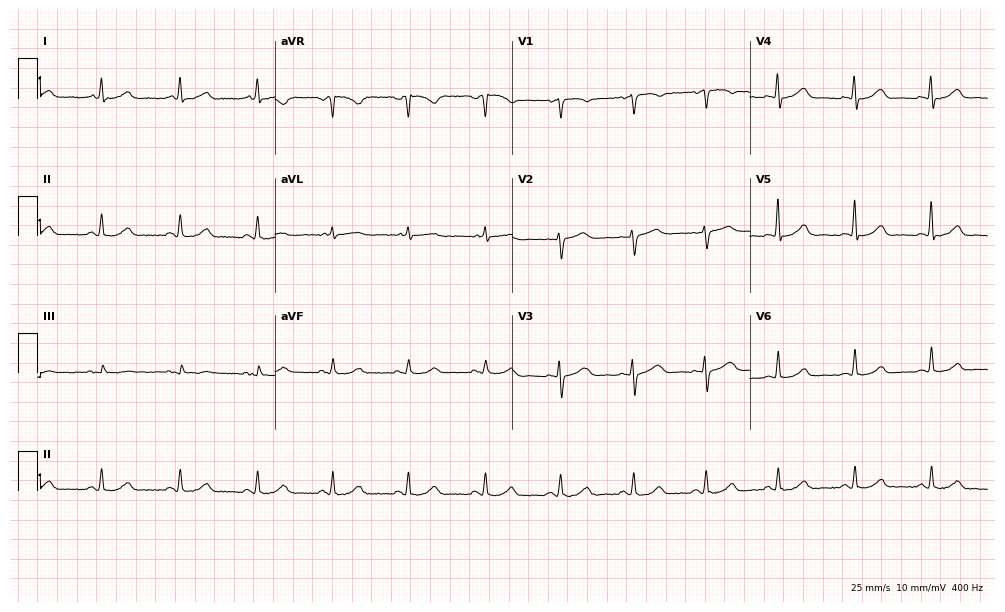
12-lead ECG from a female patient, 64 years old. Recorded interpretation: within normal limits.